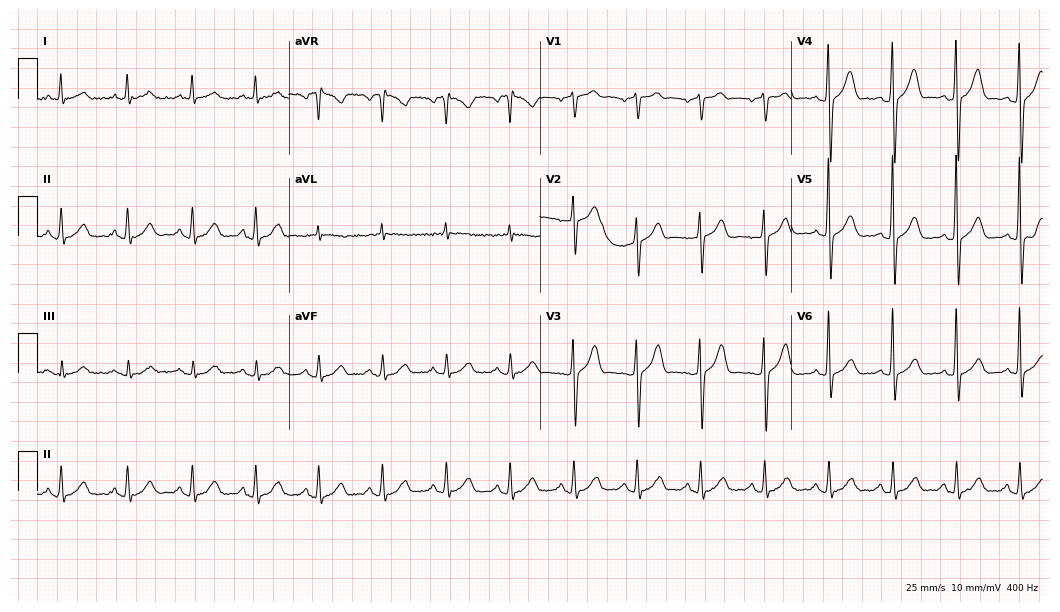
12-lead ECG from a male, 60 years old. Recorded interpretation: within normal limits.